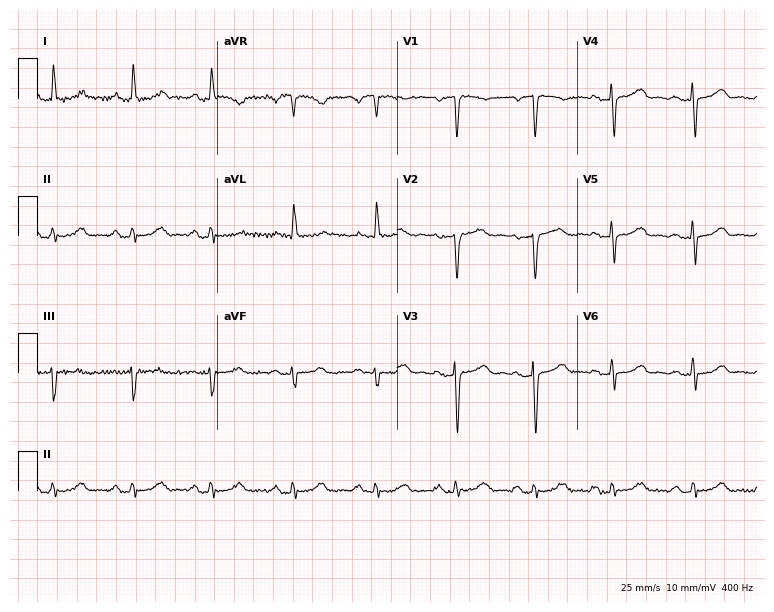
Resting 12-lead electrocardiogram. Patient: a 57-year-old male. None of these six findings is recorded: first-degree AV block, right bundle branch block, left bundle branch block, sinus bradycardia, atrial fibrillation, sinus tachycardia. Only these six findings were labelled.